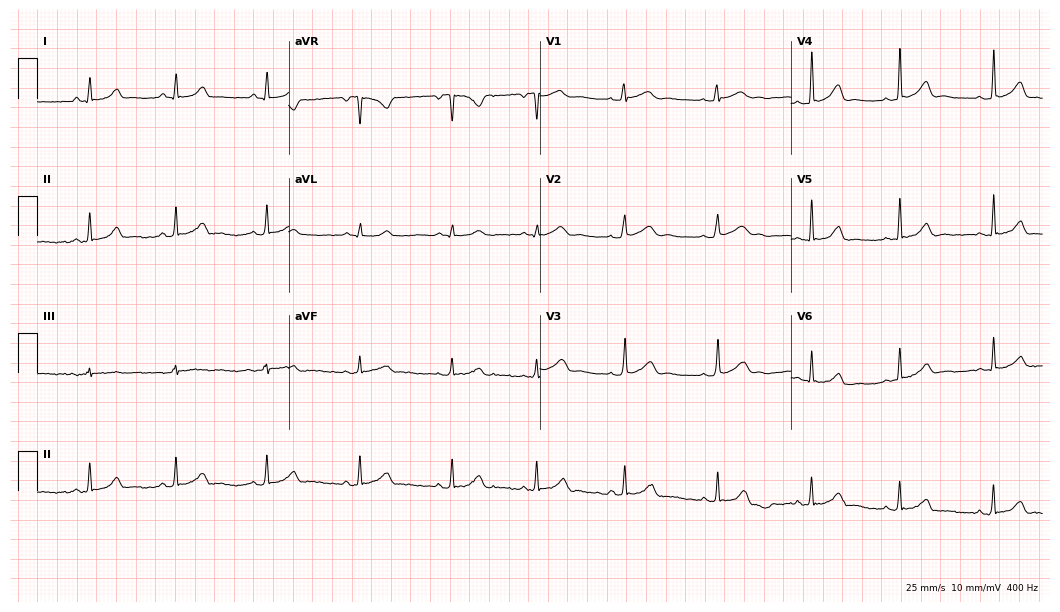
Resting 12-lead electrocardiogram. Patient: a 27-year-old female. Read as a normal ECG.